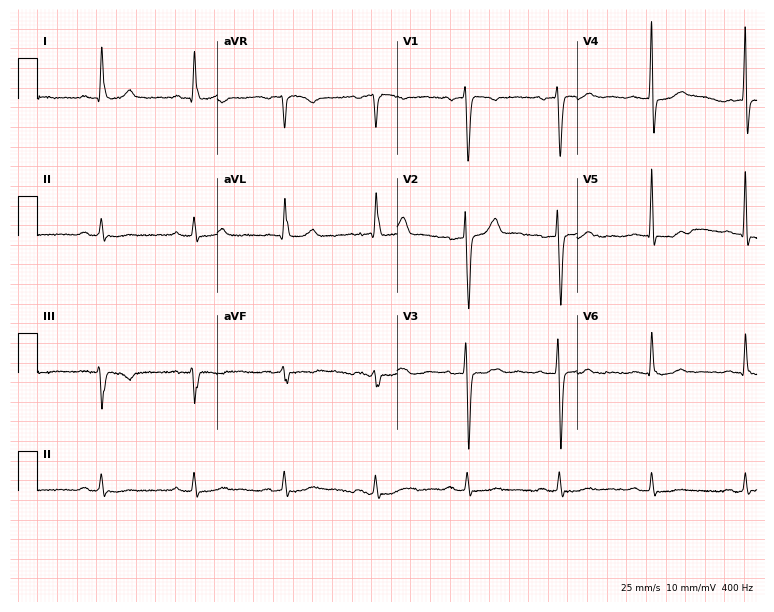
Standard 12-lead ECG recorded from a 63-year-old male patient. None of these six findings is recorded: first-degree AV block, right bundle branch block, left bundle branch block, sinus bradycardia, atrial fibrillation, sinus tachycardia.